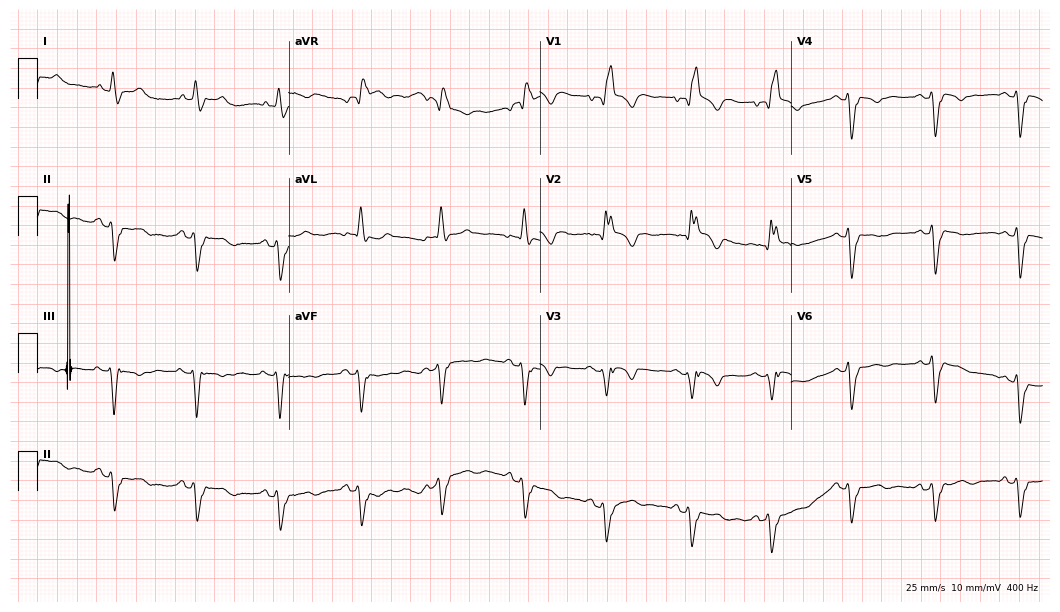
Electrocardiogram (10.2-second recording at 400 Hz), an 81-year-old man. Interpretation includes right bundle branch block.